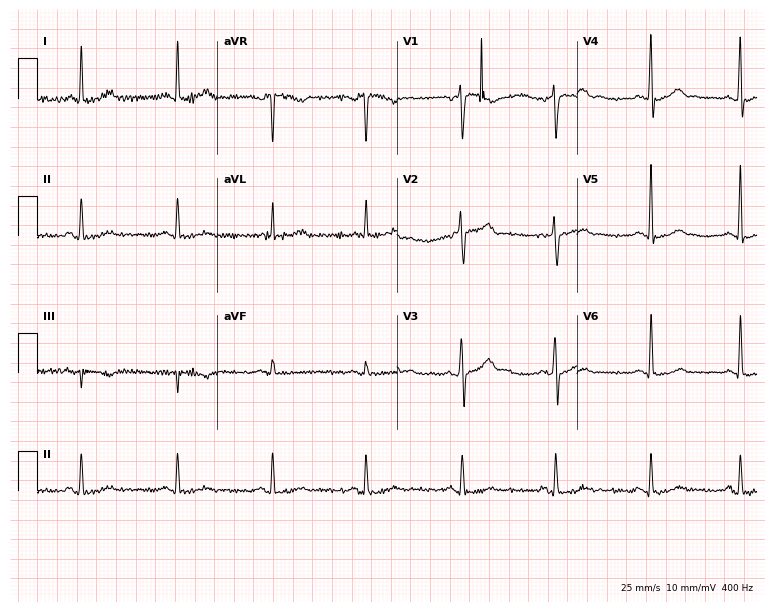
ECG (7.3-second recording at 400 Hz) — a 36-year-old male. Labelled as a normal ECG.